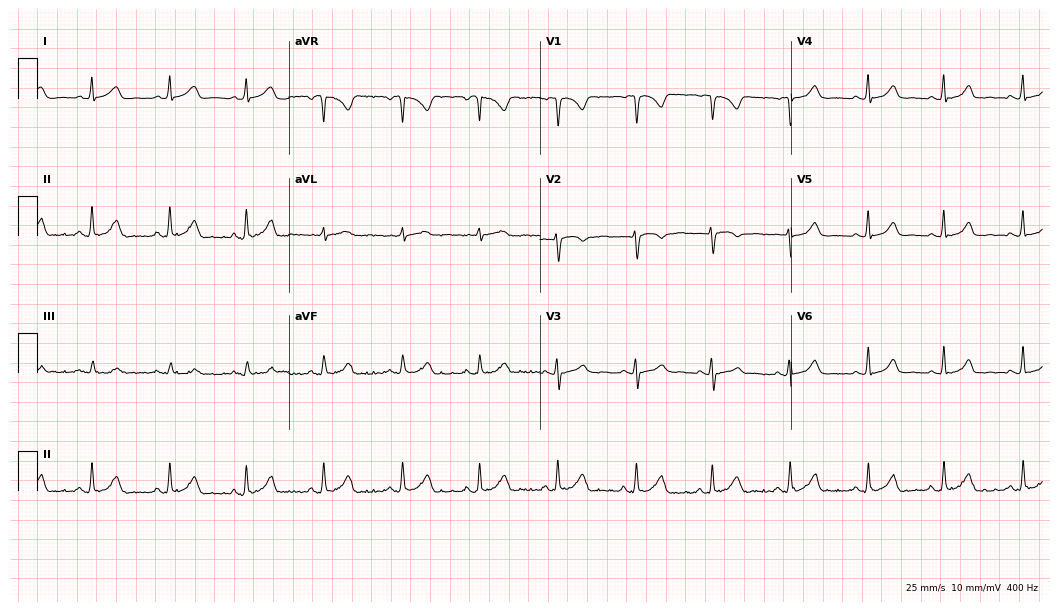
Standard 12-lead ECG recorded from a 24-year-old female. Read as a normal ECG.